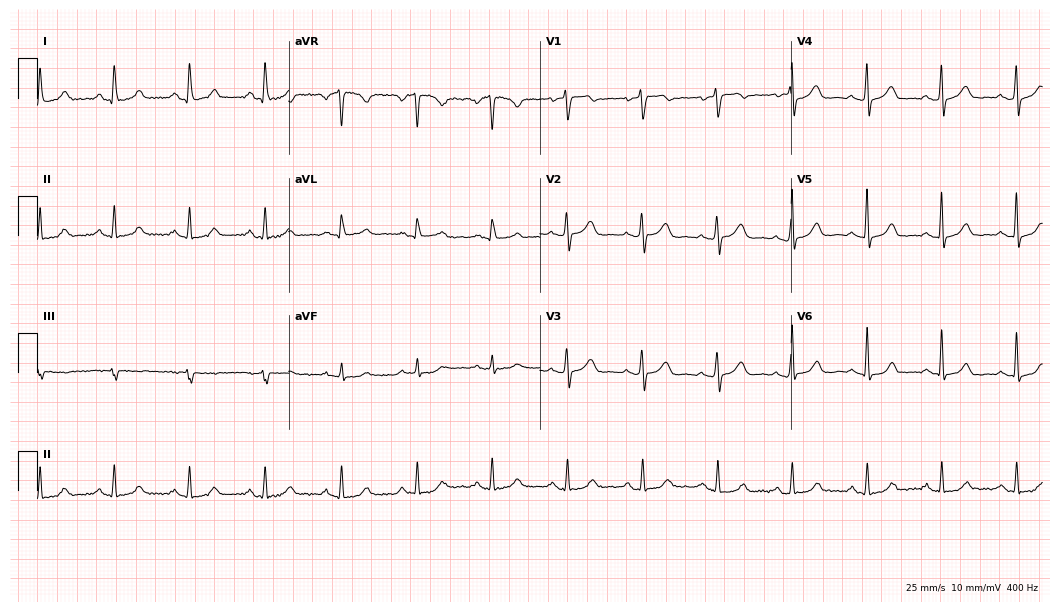
Electrocardiogram, a 54-year-old female. Overall reading on record: normal ECG.